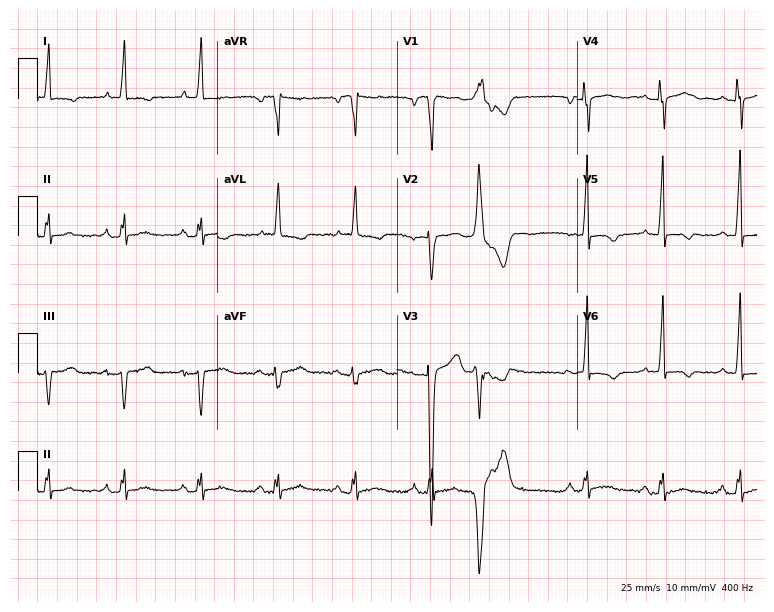
ECG (7.3-second recording at 400 Hz) — an 80-year-old male. Screened for six findings — first-degree AV block, right bundle branch block, left bundle branch block, sinus bradycardia, atrial fibrillation, sinus tachycardia — none is recorded. Other findings, if any, are not listed.